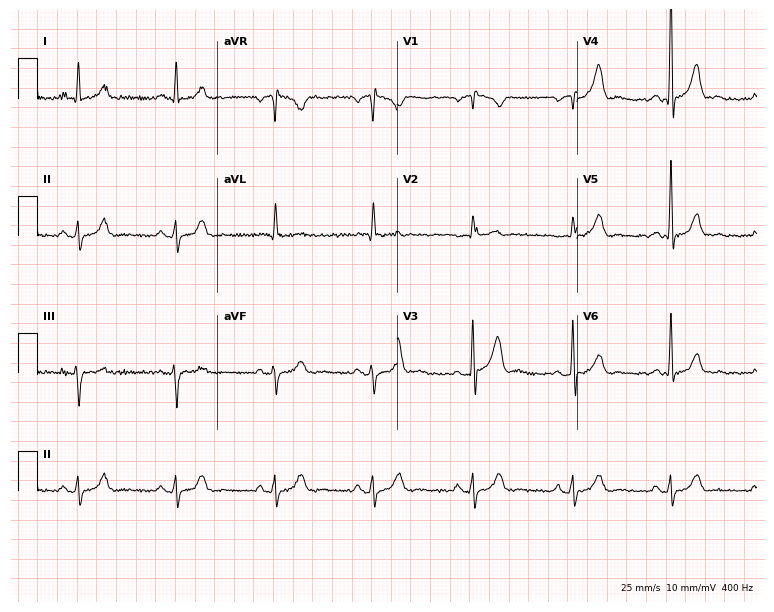
Standard 12-lead ECG recorded from a male, 68 years old (7.3-second recording at 400 Hz). None of these six findings is recorded: first-degree AV block, right bundle branch block (RBBB), left bundle branch block (LBBB), sinus bradycardia, atrial fibrillation (AF), sinus tachycardia. Findings outside these six are not listed.